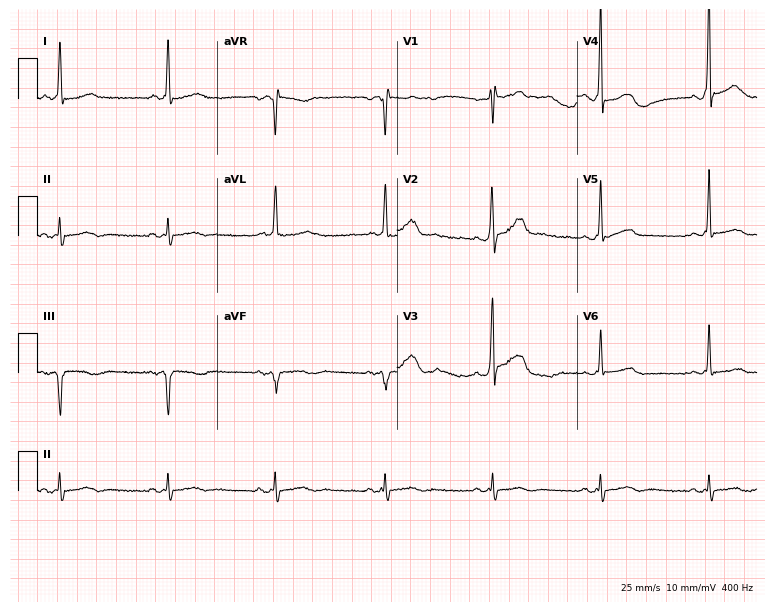
Standard 12-lead ECG recorded from a male, 56 years old. None of these six findings is recorded: first-degree AV block, right bundle branch block, left bundle branch block, sinus bradycardia, atrial fibrillation, sinus tachycardia.